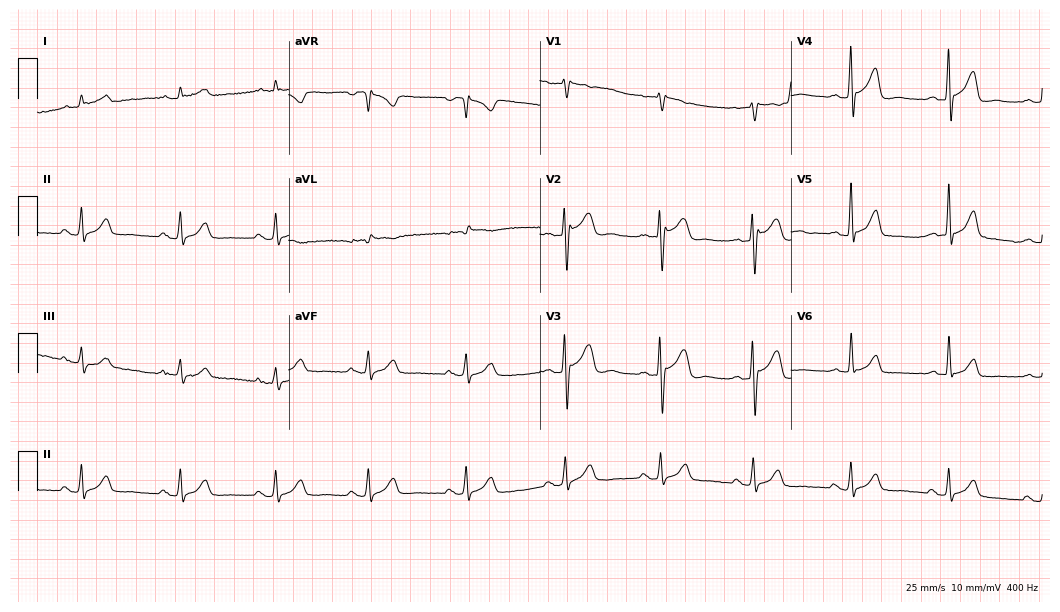
Standard 12-lead ECG recorded from a male, 64 years old. Read as a normal ECG.